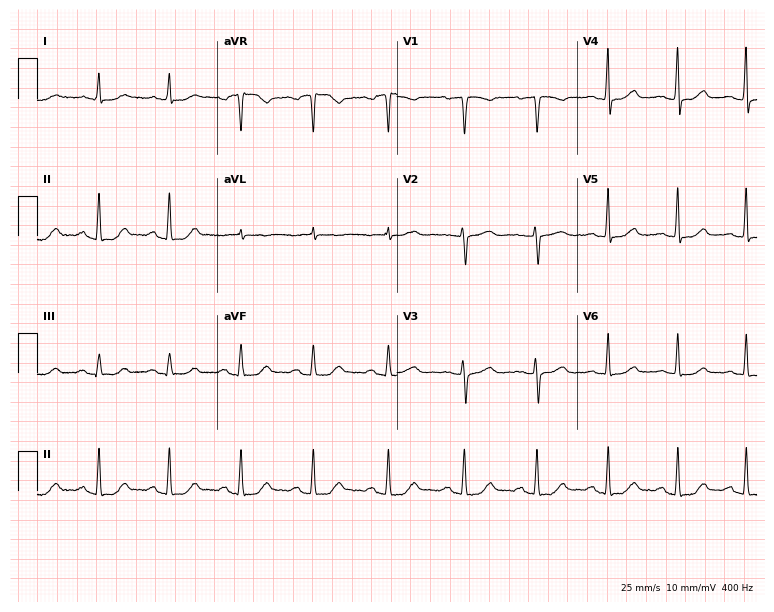
Resting 12-lead electrocardiogram (7.3-second recording at 400 Hz). Patient: a woman, 53 years old. Read as a normal ECG.